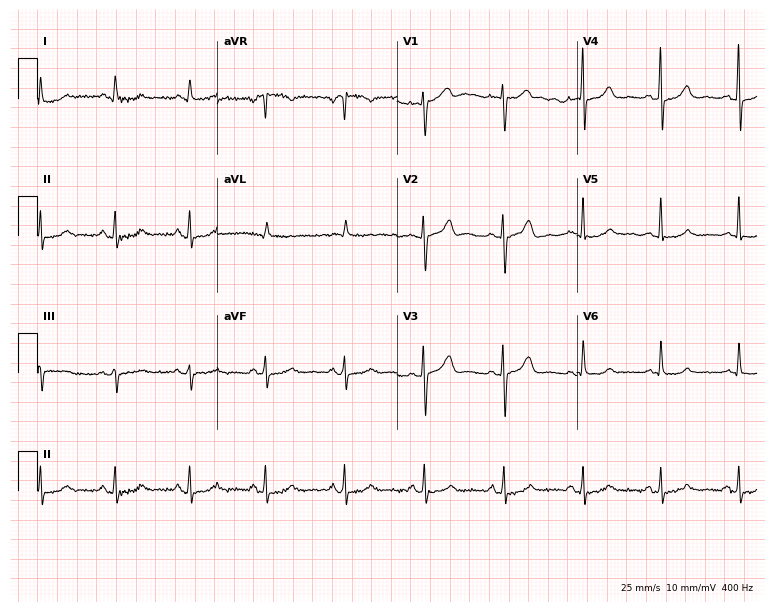
ECG (7.3-second recording at 400 Hz) — a 56-year-old woman. Labelled as a normal ECG.